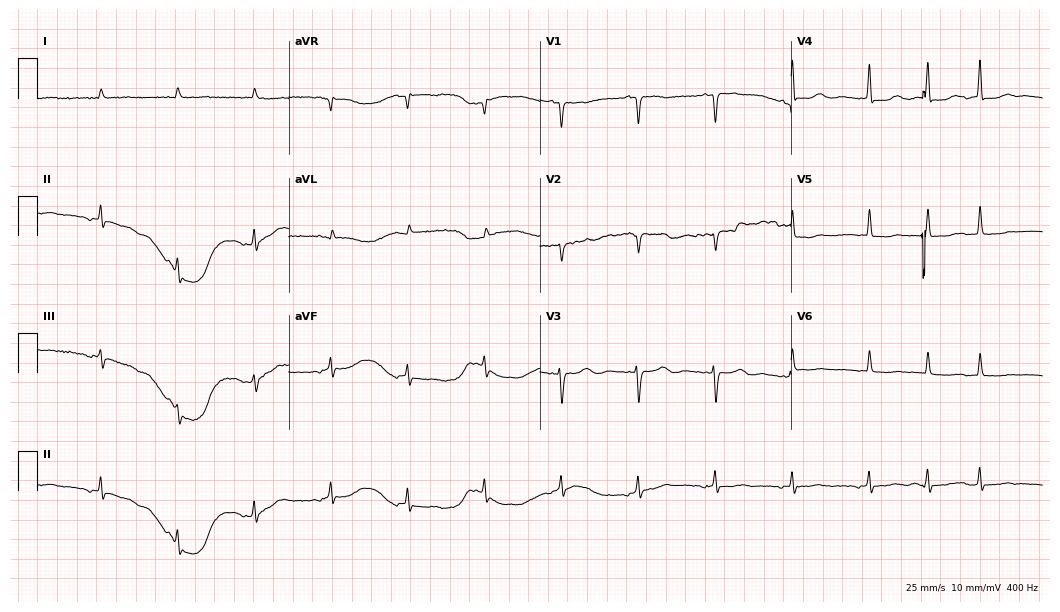
Standard 12-lead ECG recorded from a man, 85 years old (10.2-second recording at 400 Hz). None of these six findings is recorded: first-degree AV block, right bundle branch block, left bundle branch block, sinus bradycardia, atrial fibrillation, sinus tachycardia.